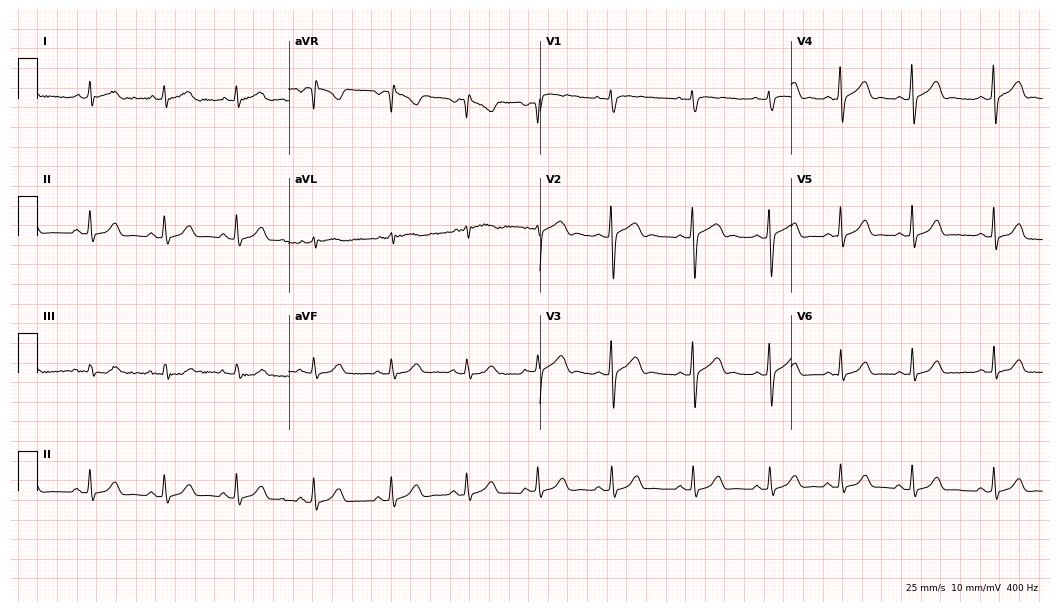
Resting 12-lead electrocardiogram. Patient: a female, 18 years old. None of these six findings is recorded: first-degree AV block, right bundle branch block, left bundle branch block, sinus bradycardia, atrial fibrillation, sinus tachycardia.